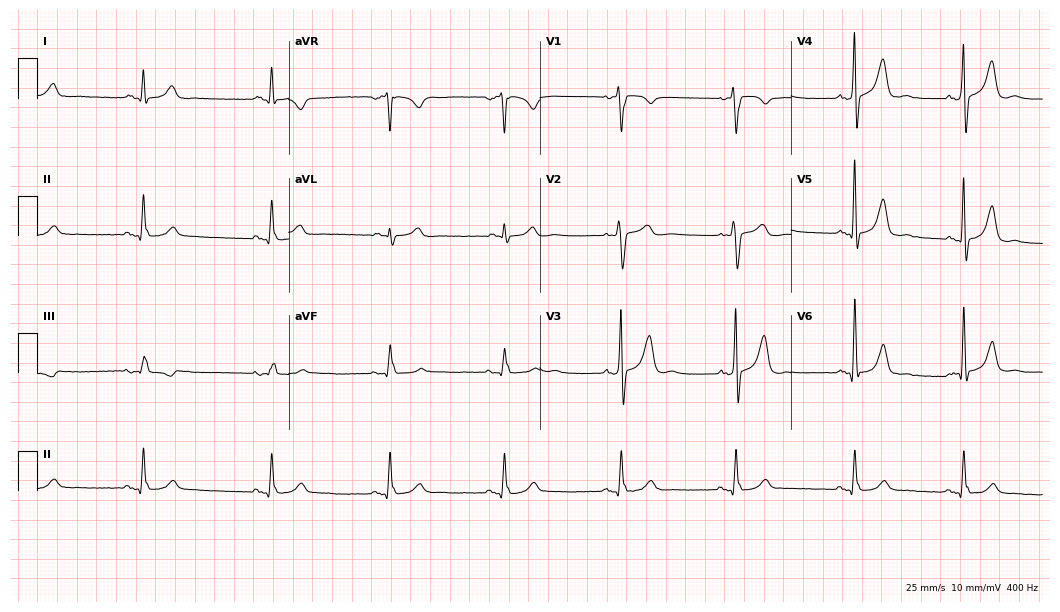
ECG — a 62-year-old man. Screened for six findings — first-degree AV block, right bundle branch block, left bundle branch block, sinus bradycardia, atrial fibrillation, sinus tachycardia — none is recorded.